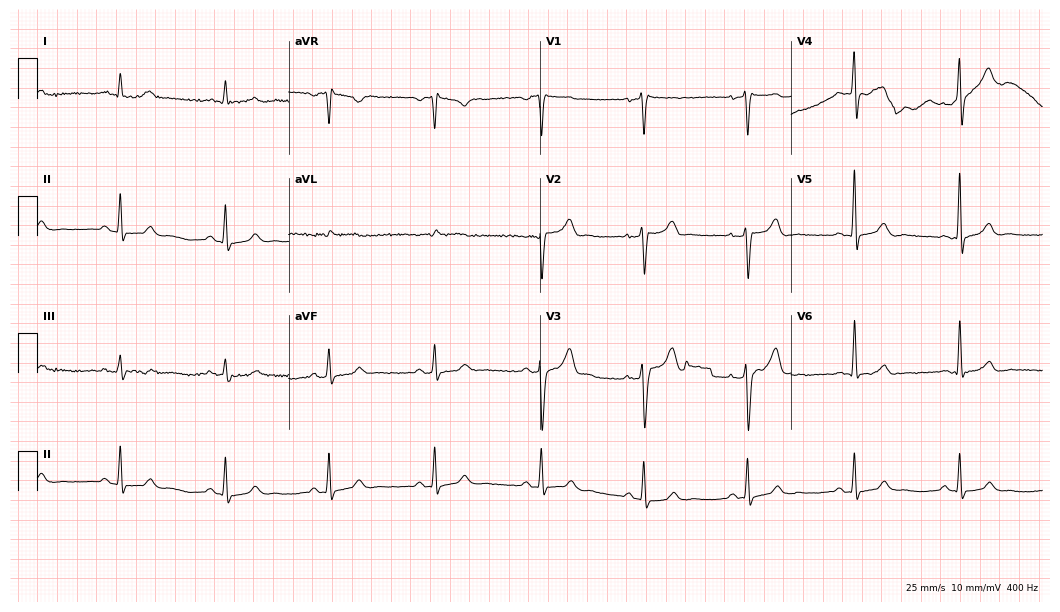
Resting 12-lead electrocardiogram. Patient: a man, 56 years old. Read as a normal ECG.